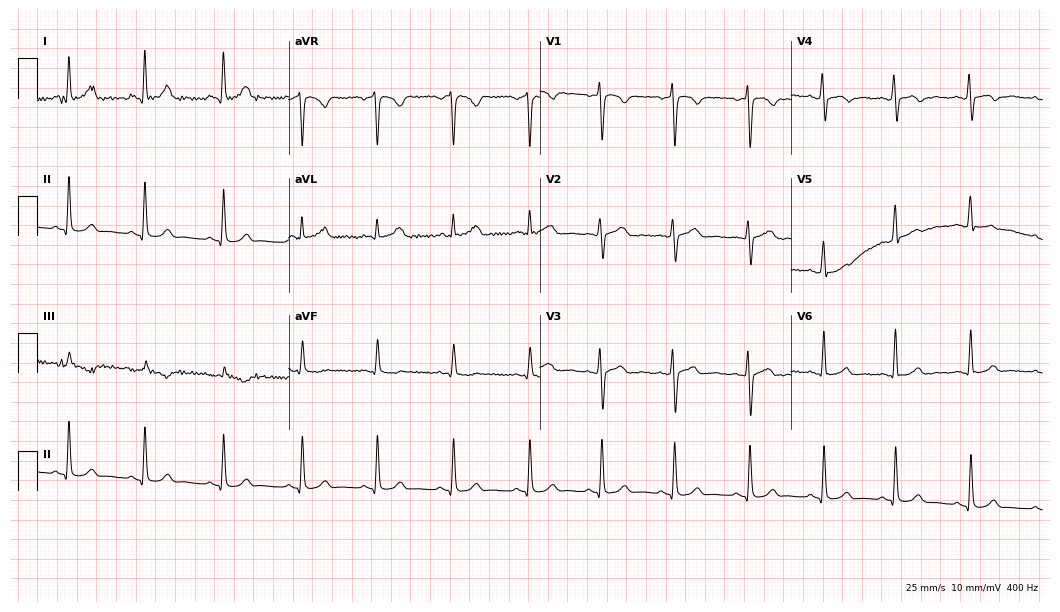
Resting 12-lead electrocardiogram. Patient: a woman, 23 years old. Read as a normal ECG.